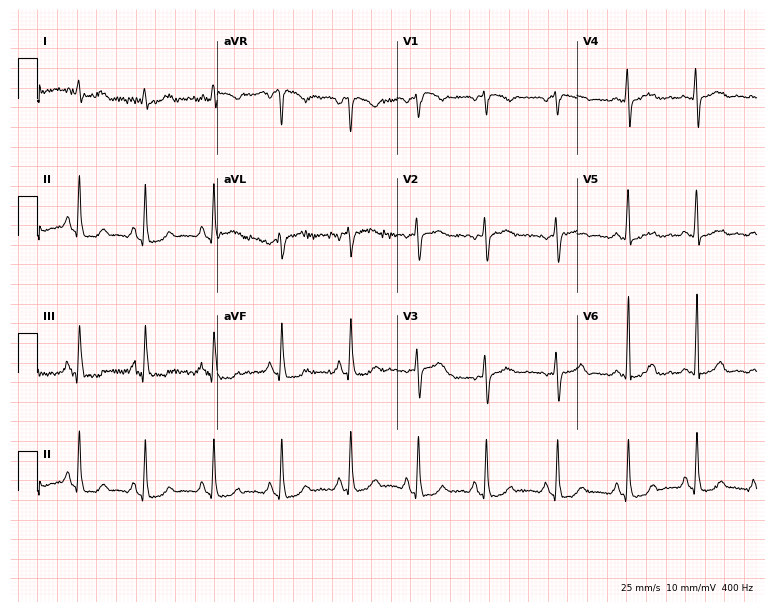
ECG (7.3-second recording at 400 Hz) — a female patient, 40 years old. Screened for six findings — first-degree AV block, right bundle branch block (RBBB), left bundle branch block (LBBB), sinus bradycardia, atrial fibrillation (AF), sinus tachycardia — none is recorded. Other findings, if any, are not listed.